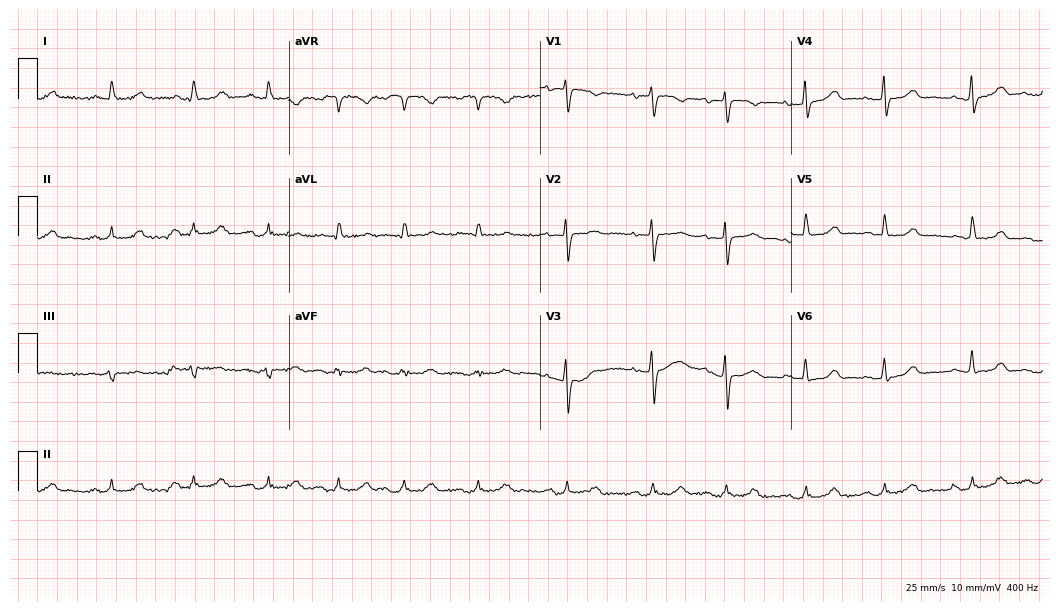
Electrocardiogram (10.2-second recording at 400 Hz), a female patient, 80 years old. Of the six screened findings (first-degree AV block, right bundle branch block, left bundle branch block, sinus bradycardia, atrial fibrillation, sinus tachycardia), none is recorded. Findings outside these six are not listed.